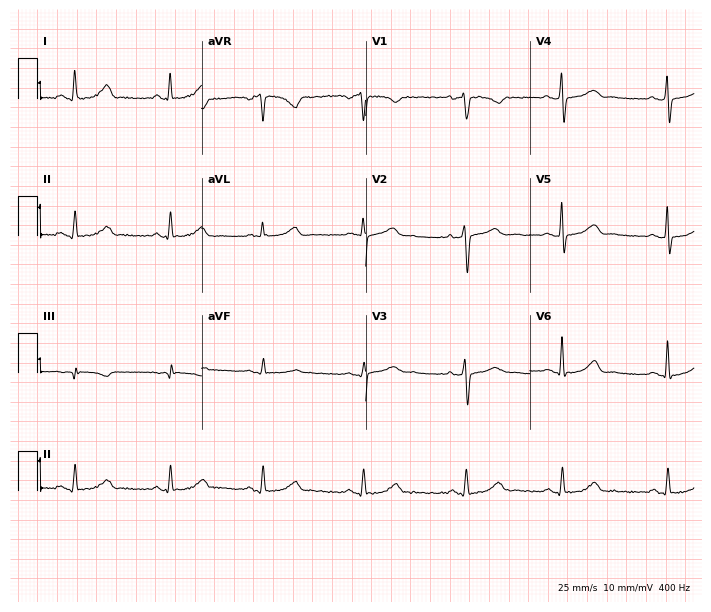
Standard 12-lead ECG recorded from a 39-year-old female. None of these six findings is recorded: first-degree AV block, right bundle branch block (RBBB), left bundle branch block (LBBB), sinus bradycardia, atrial fibrillation (AF), sinus tachycardia.